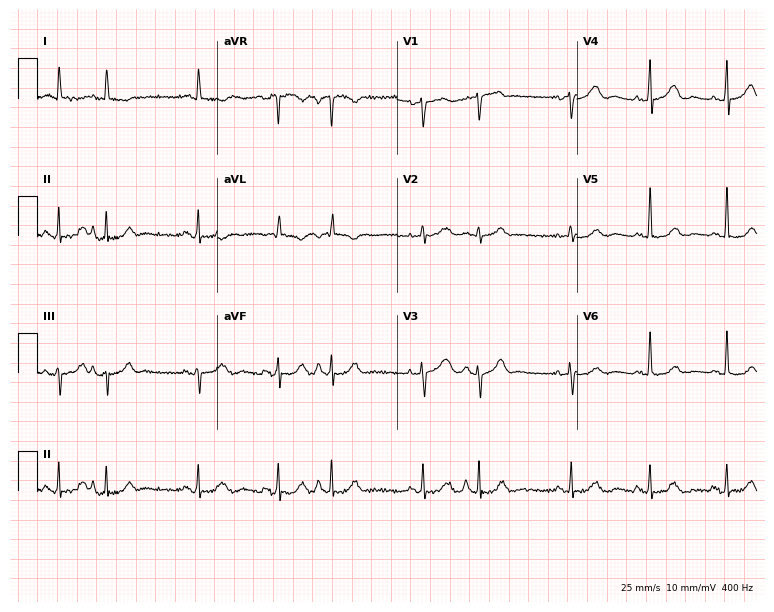
Resting 12-lead electrocardiogram (7.3-second recording at 400 Hz). Patient: a woman, 69 years old. None of these six findings is recorded: first-degree AV block, right bundle branch block, left bundle branch block, sinus bradycardia, atrial fibrillation, sinus tachycardia.